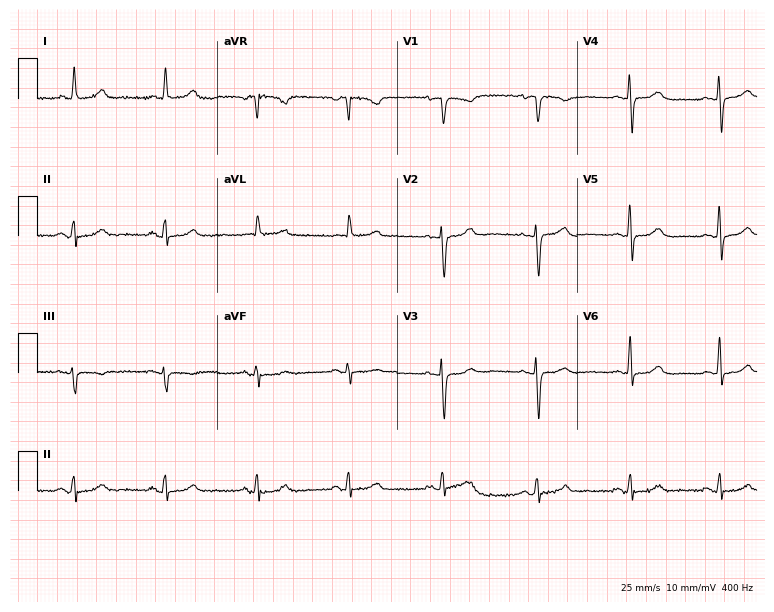
Electrocardiogram, a 70-year-old female. Overall reading on record: normal ECG.